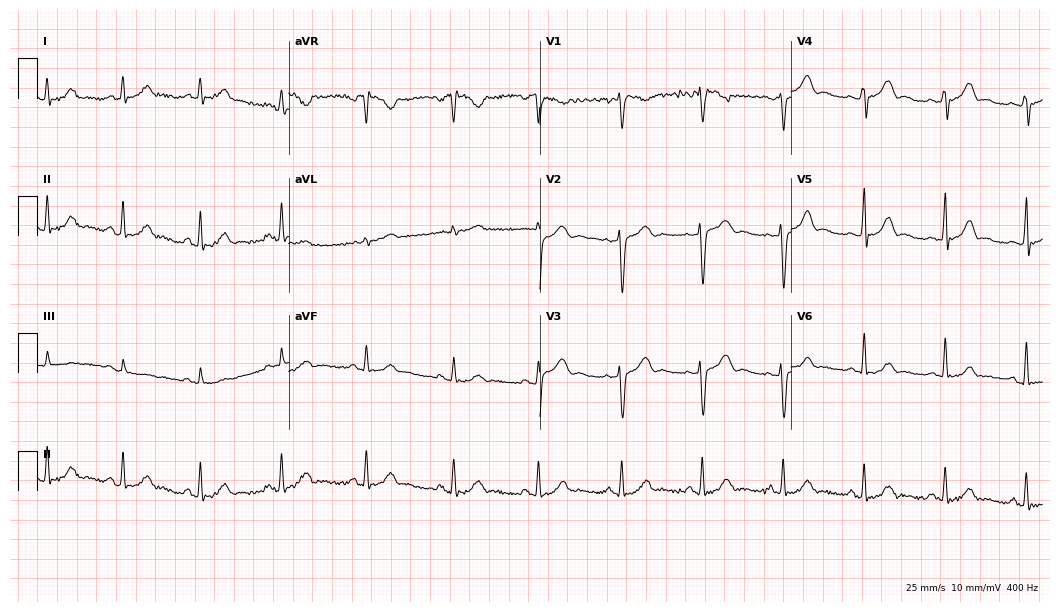
Standard 12-lead ECG recorded from a woman, 43 years old. Read as a normal ECG.